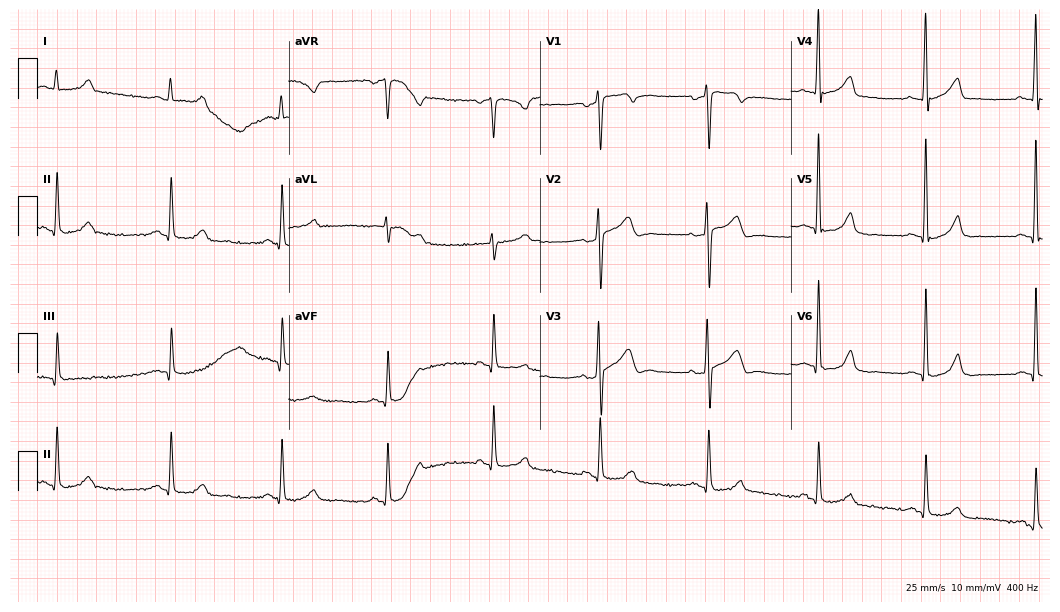
12-lead ECG from a 50-year-old man. Recorded interpretation: within normal limits.